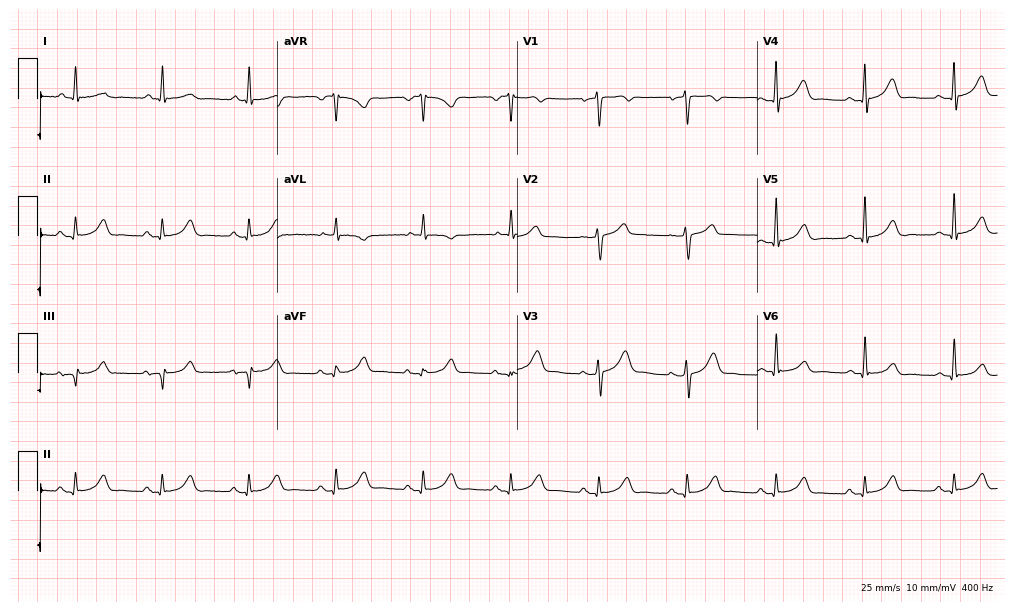
Electrocardiogram (9.8-second recording at 400 Hz), a 68-year-old man. Overall reading on record: normal ECG.